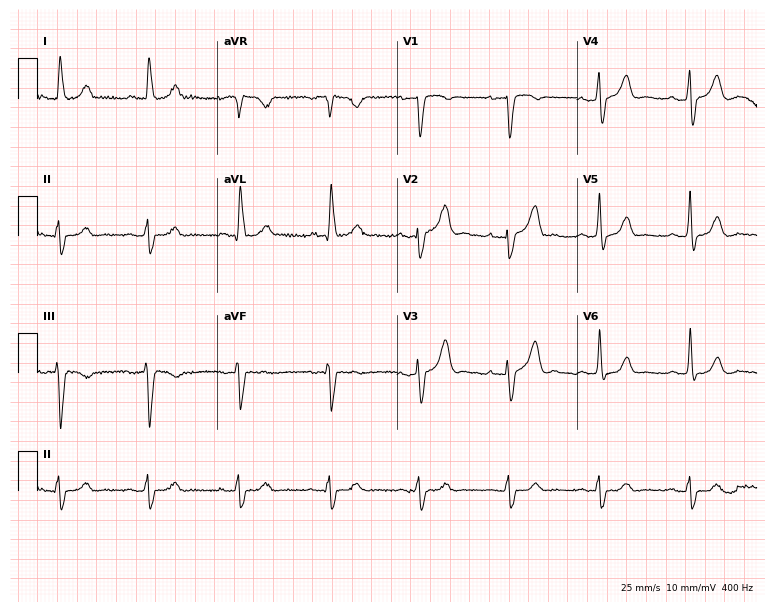
Resting 12-lead electrocardiogram (7.3-second recording at 400 Hz). Patient: a male, 77 years old. None of these six findings is recorded: first-degree AV block, right bundle branch block, left bundle branch block, sinus bradycardia, atrial fibrillation, sinus tachycardia. Findings outside these six are not listed.